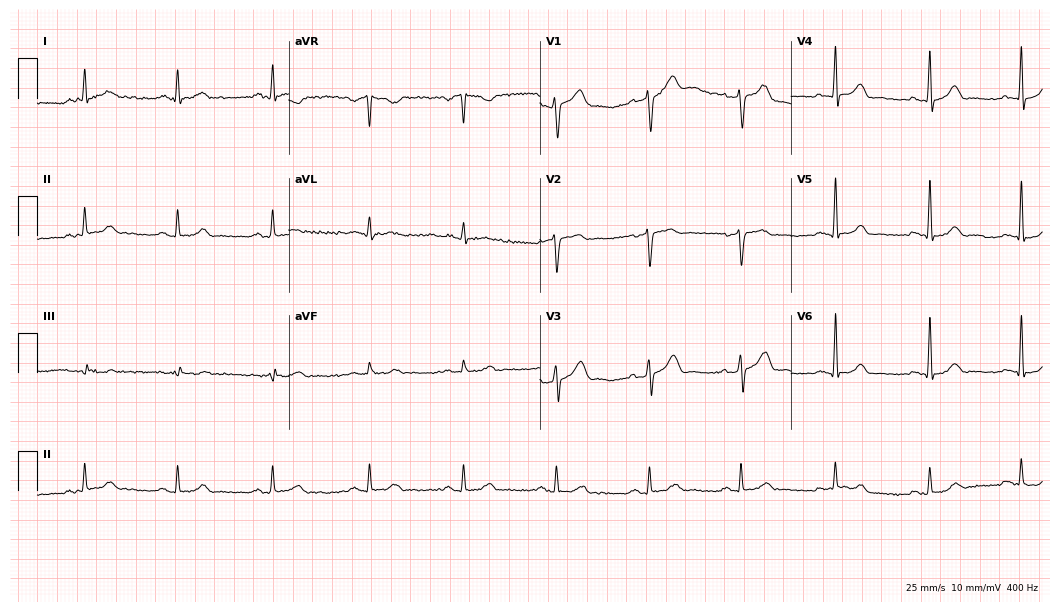
Resting 12-lead electrocardiogram. Patient: a 55-year-old man. Read as a normal ECG.